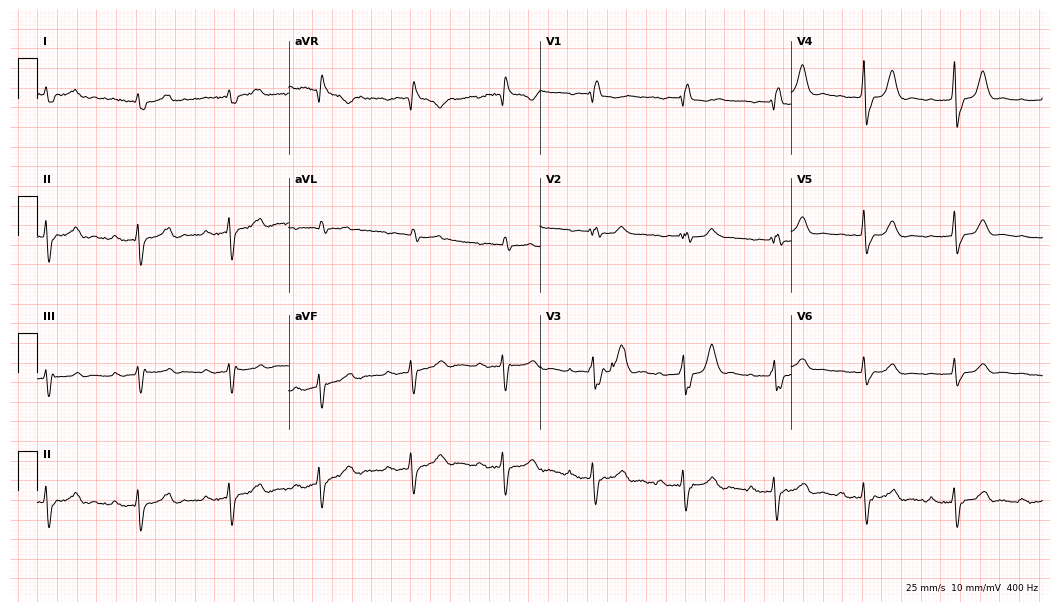
12-lead ECG from a man, 82 years old. Shows first-degree AV block, right bundle branch block.